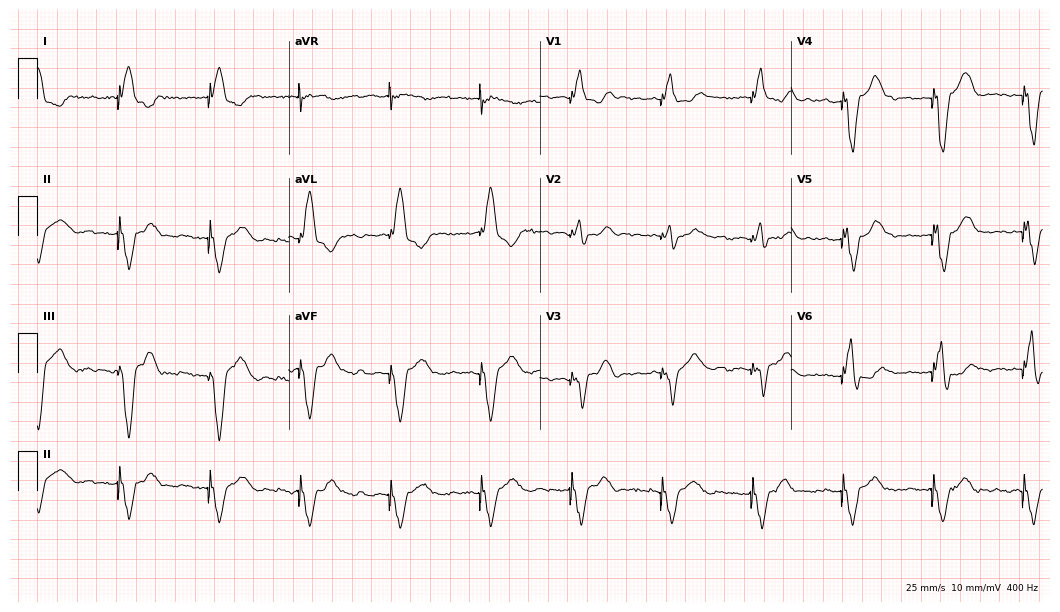
Standard 12-lead ECG recorded from a man, 55 years old. None of these six findings is recorded: first-degree AV block, right bundle branch block, left bundle branch block, sinus bradycardia, atrial fibrillation, sinus tachycardia.